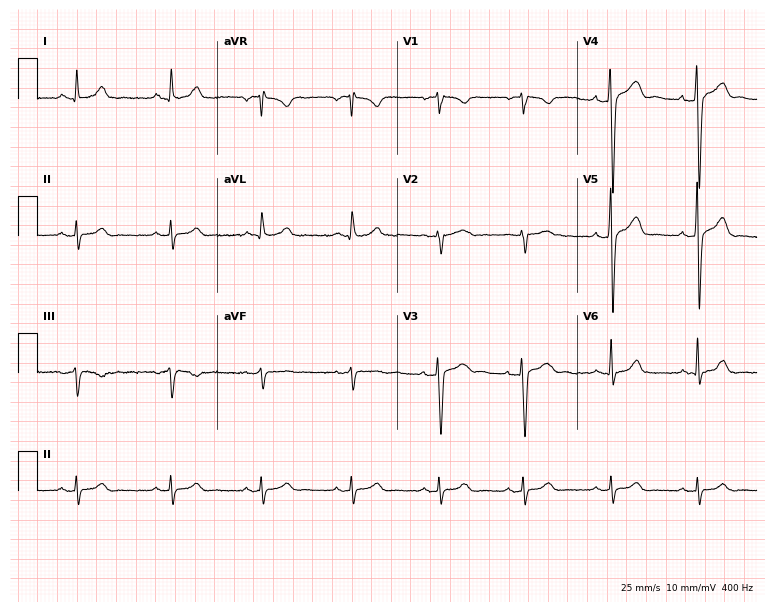
Resting 12-lead electrocardiogram. Patient: a man, 40 years old. Read as a normal ECG.